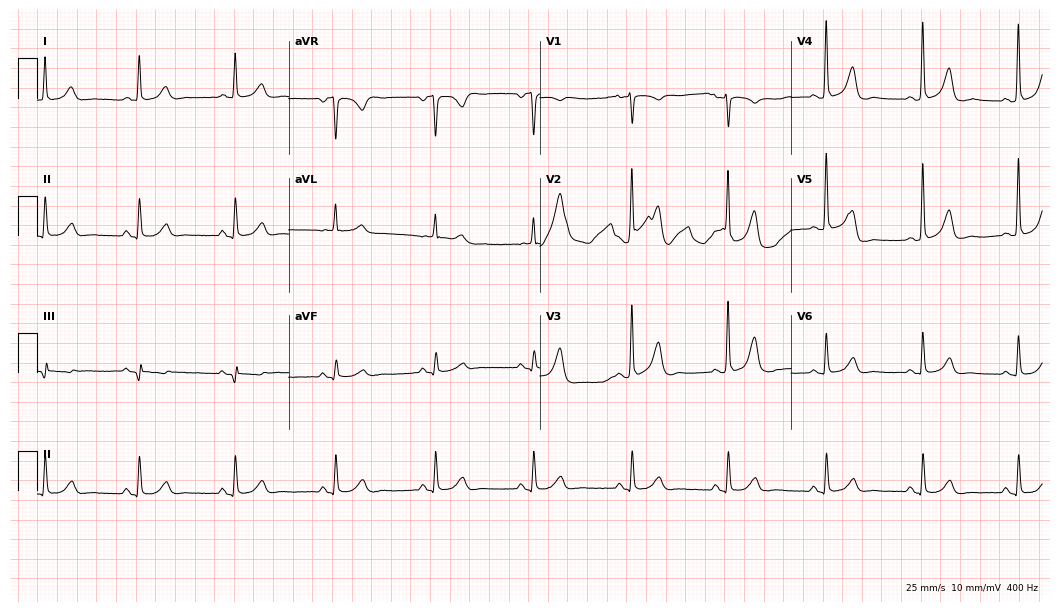
Electrocardiogram, a female patient, 80 years old. Overall reading on record: normal ECG.